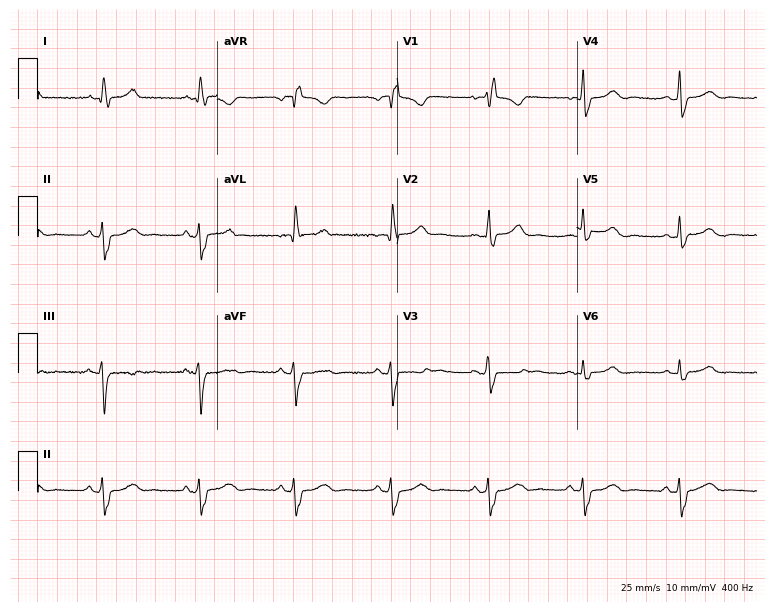
Electrocardiogram (7.3-second recording at 400 Hz), a female, 41 years old. Interpretation includes right bundle branch block.